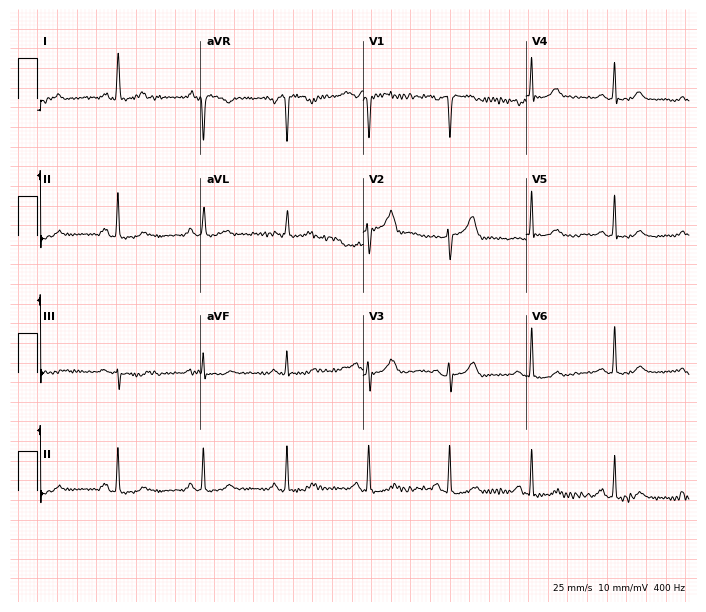
Standard 12-lead ECG recorded from a female, 72 years old (6.6-second recording at 400 Hz). Read as a normal ECG.